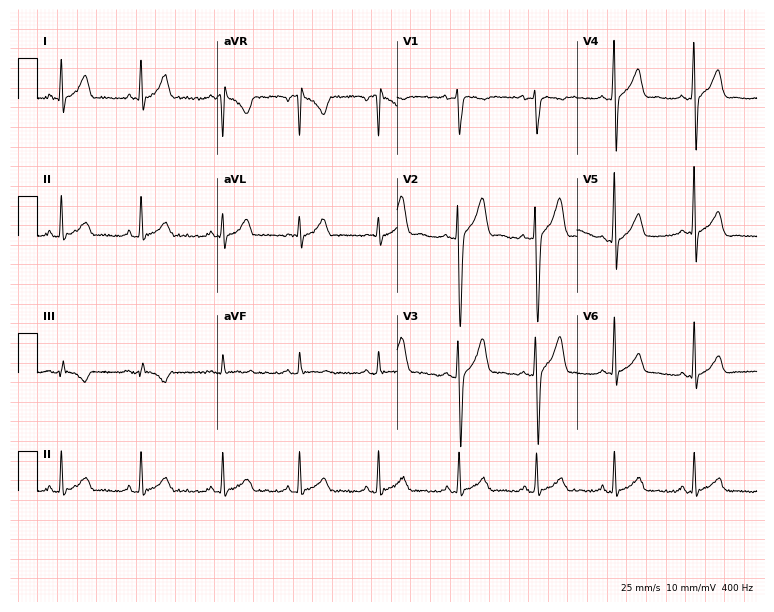
12-lead ECG from a male, 22 years old. No first-degree AV block, right bundle branch block, left bundle branch block, sinus bradycardia, atrial fibrillation or sinus tachycardia recorded for this tracing. Findings outside these six are not listed.